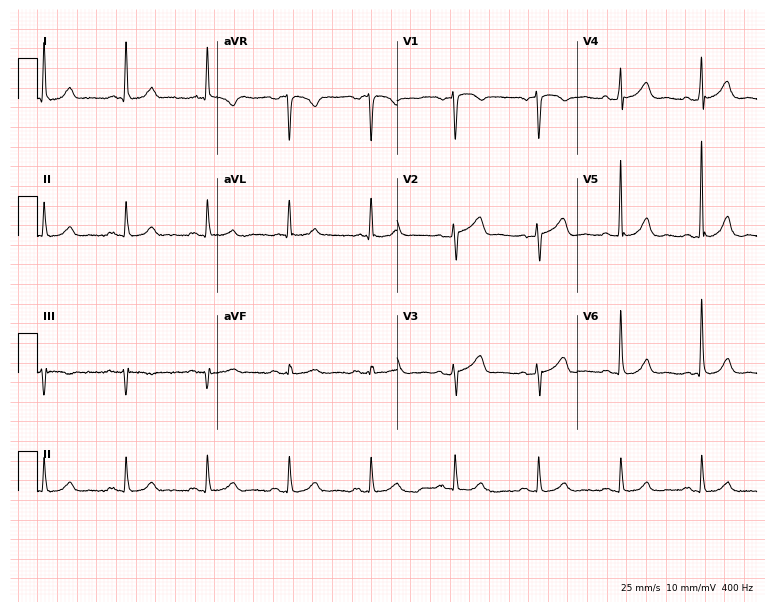
Electrocardiogram (7.3-second recording at 400 Hz), a 78-year-old female. Overall reading on record: normal ECG.